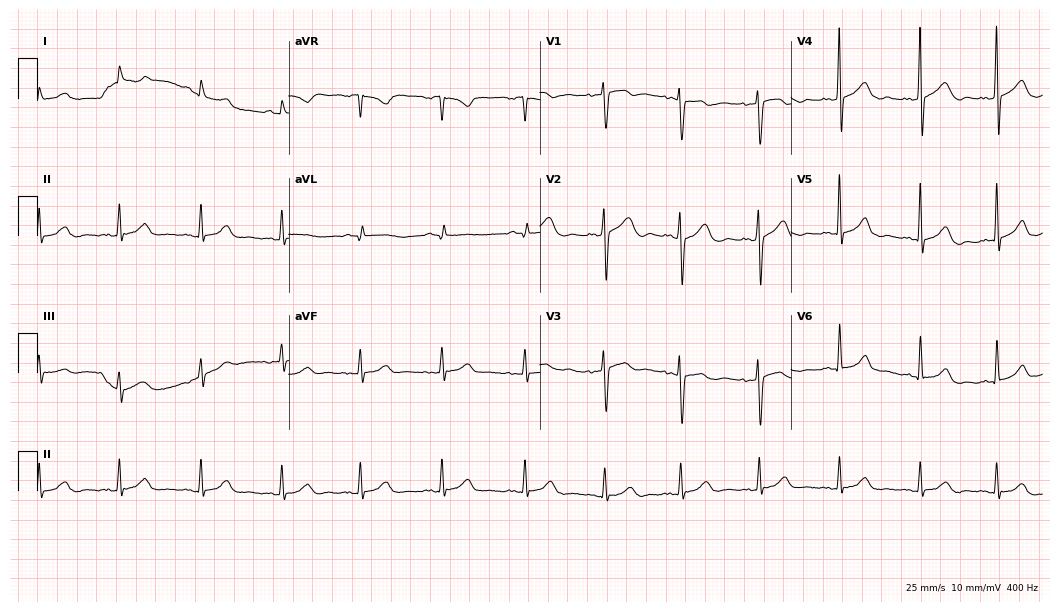
ECG — a female, 33 years old. Labelled as a normal ECG.